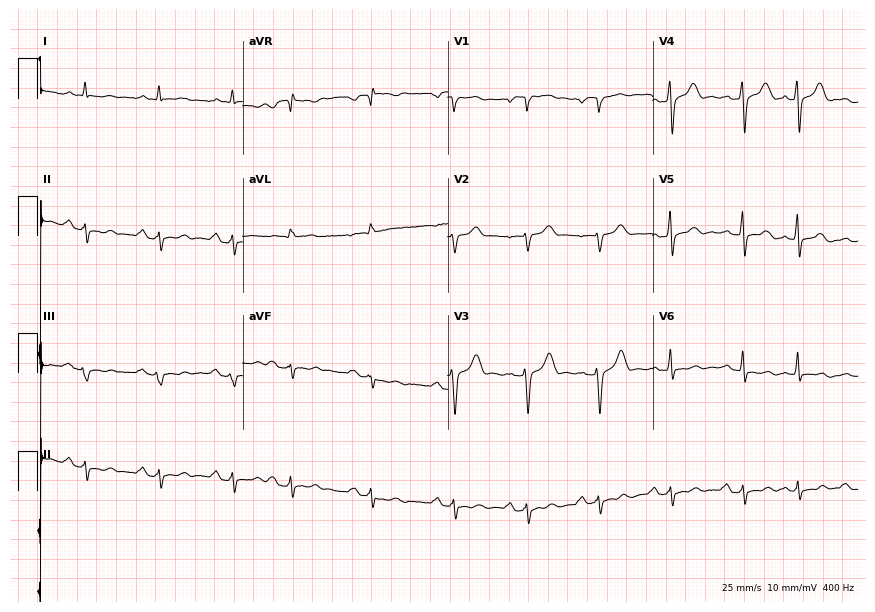
Resting 12-lead electrocardiogram. Patient: a male, 76 years old. None of these six findings is recorded: first-degree AV block, right bundle branch block (RBBB), left bundle branch block (LBBB), sinus bradycardia, atrial fibrillation (AF), sinus tachycardia.